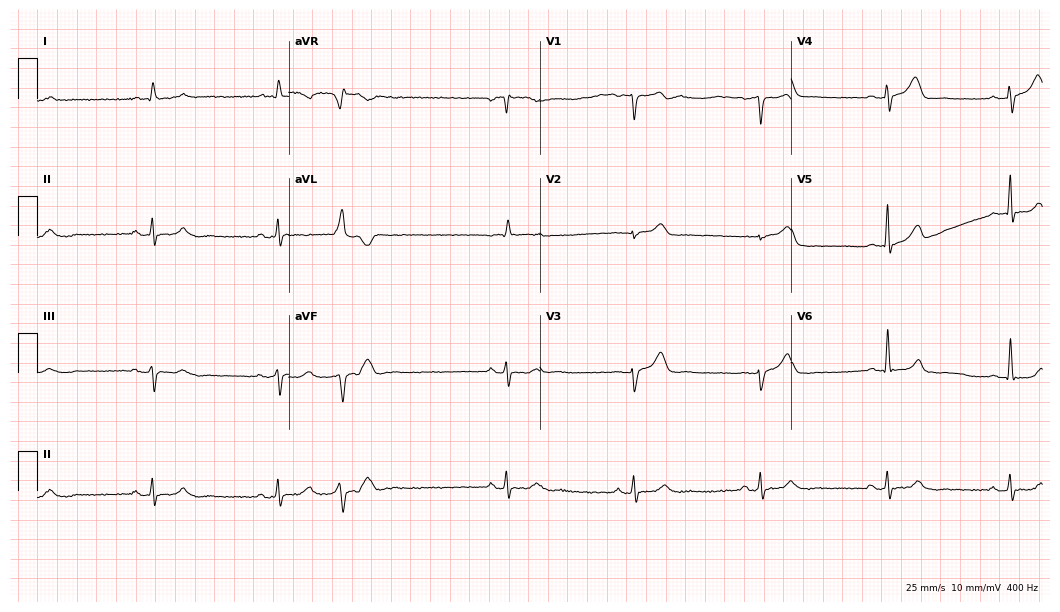
12-lead ECG from a male patient, 66 years old. Findings include sinus bradycardia (a sinus rate of 50 beats per minute or less).